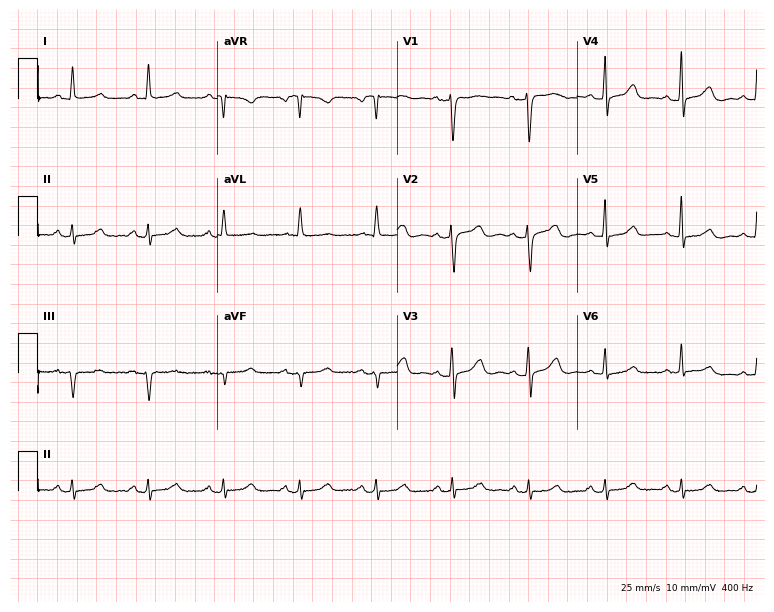
Standard 12-lead ECG recorded from a 69-year-old female patient. Read as a normal ECG.